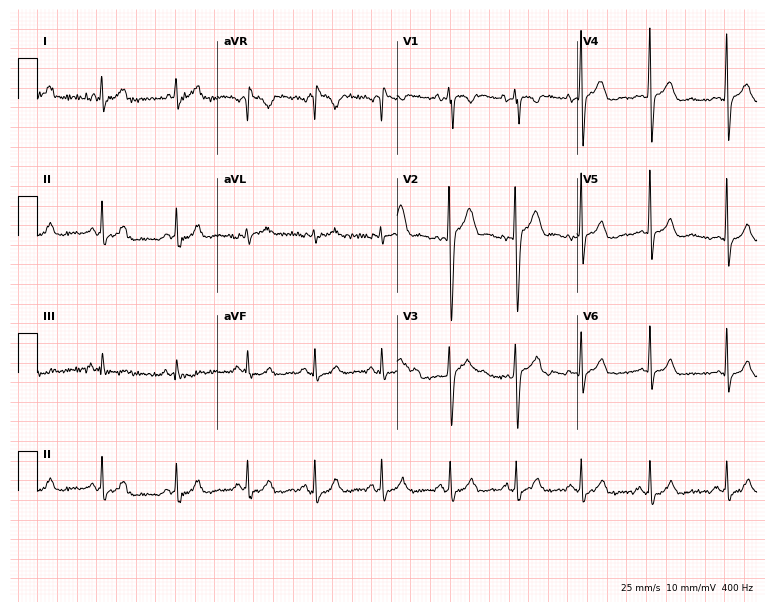
ECG — a 22-year-old male. Screened for six findings — first-degree AV block, right bundle branch block (RBBB), left bundle branch block (LBBB), sinus bradycardia, atrial fibrillation (AF), sinus tachycardia — none is recorded.